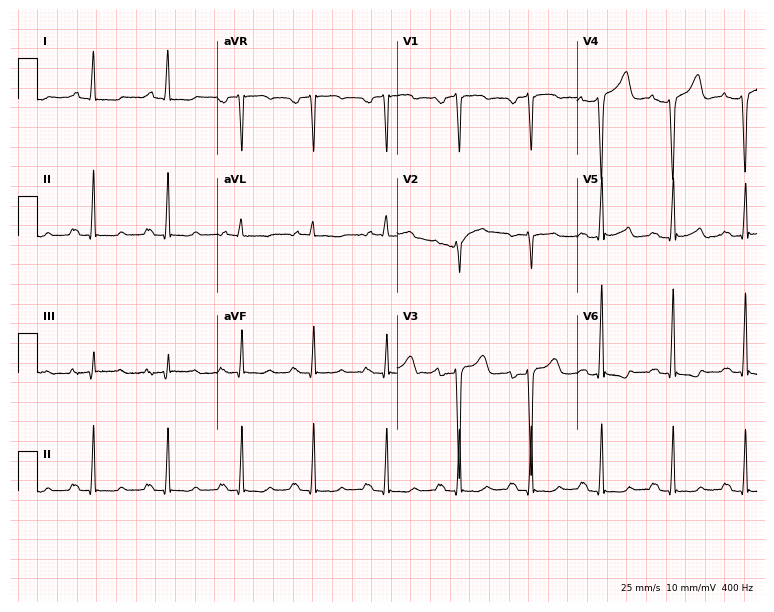
12-lead ECG from a female, 53 years old. No first-degree AV block, right bundle branch block, left bundle branch block, sinus bradycardia, atrial fibrillation or sinus tachycardia recorded for this tracing.